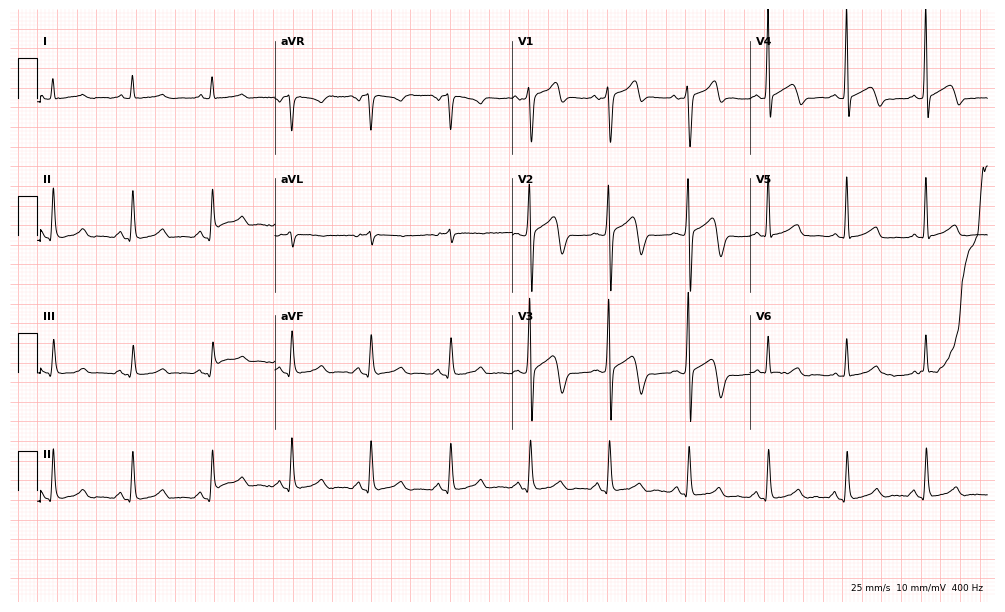
Resting 12-lead electrocardiogram. Patient: a 77-year-old man. None of these six findings is recorded: first-degree AV block, right bundle branch block, left bundle branch block, sinus bradycardia, atrial fibrillation, sinus tachycardia.